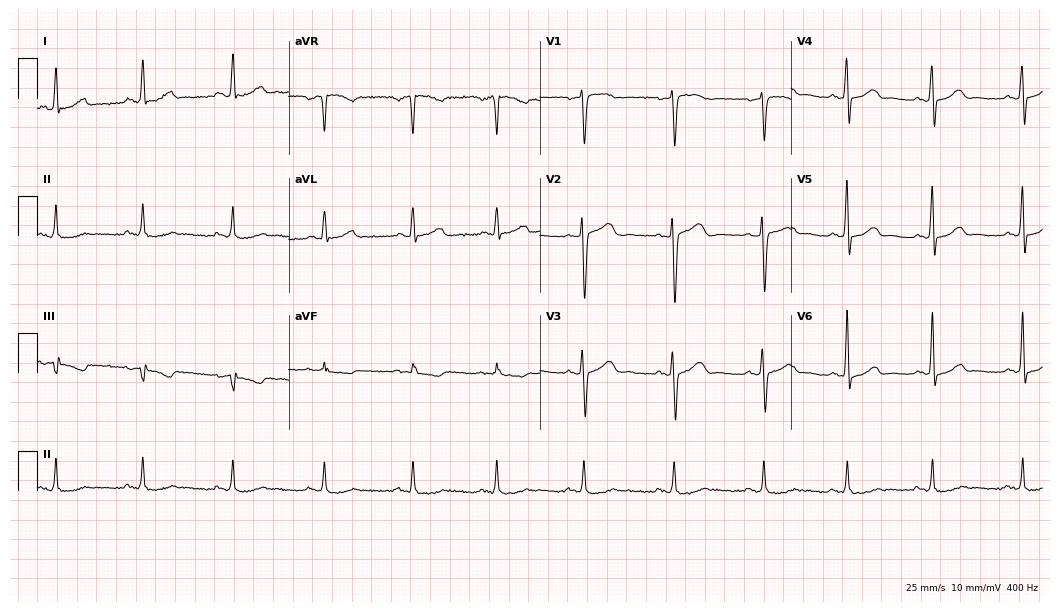
12-lead ECG (10.2-second recording at 400 Hz) from a 40-year-old woman. Labelled as a normal ECG.